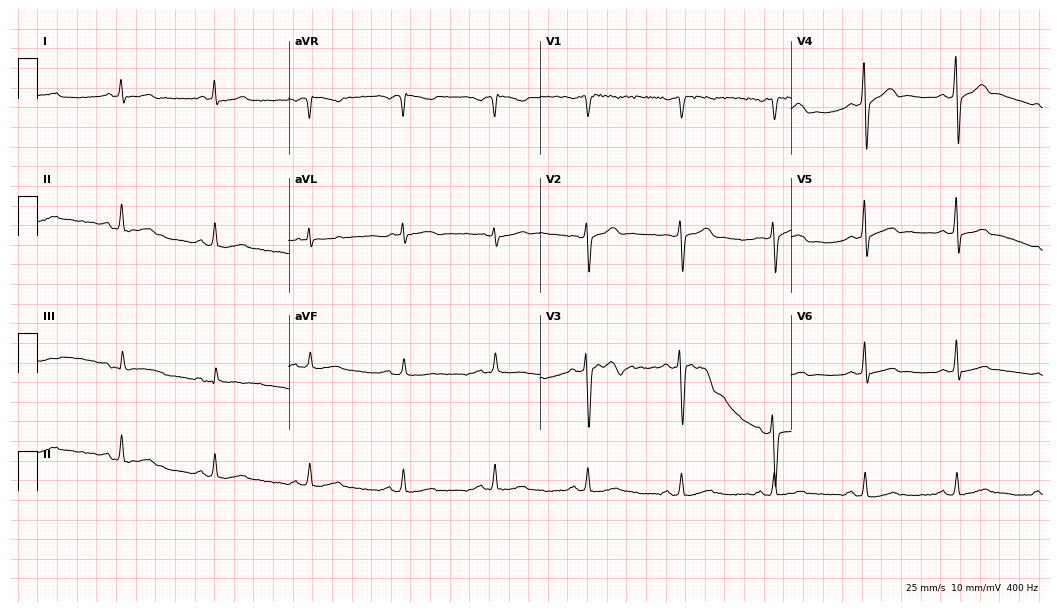
Standard 12-lead ECG recorded from a 61-year-old male patient. None of these six findings is recorded: first-degree AV block, right bundle branch block, left bundle branch block, sinus bradycardia, atrial fibrillation, sinus tachycardia. Only these six findings were labelled.